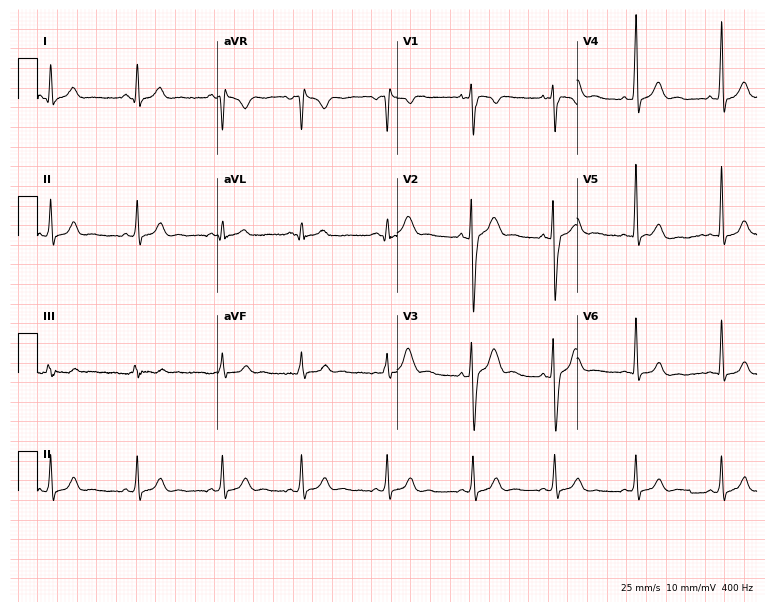
ECG (7.3-second recording at 400 Hz) — a man, 20 years old. Labelled as a normal ECG.